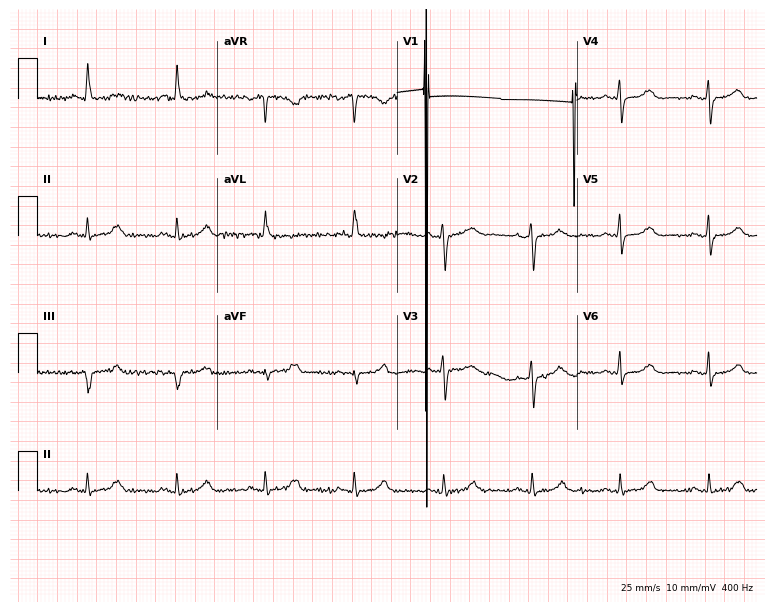
12-lead ECG (7.3-second recording at 400 Hz) from a 74-year-old female patient. Screened for six findings — first-degree AV block, right bundle branch block, left bundle branch block, sinus bradycardia, atrial fibrillation, sinus tachycardia — none is recorded.